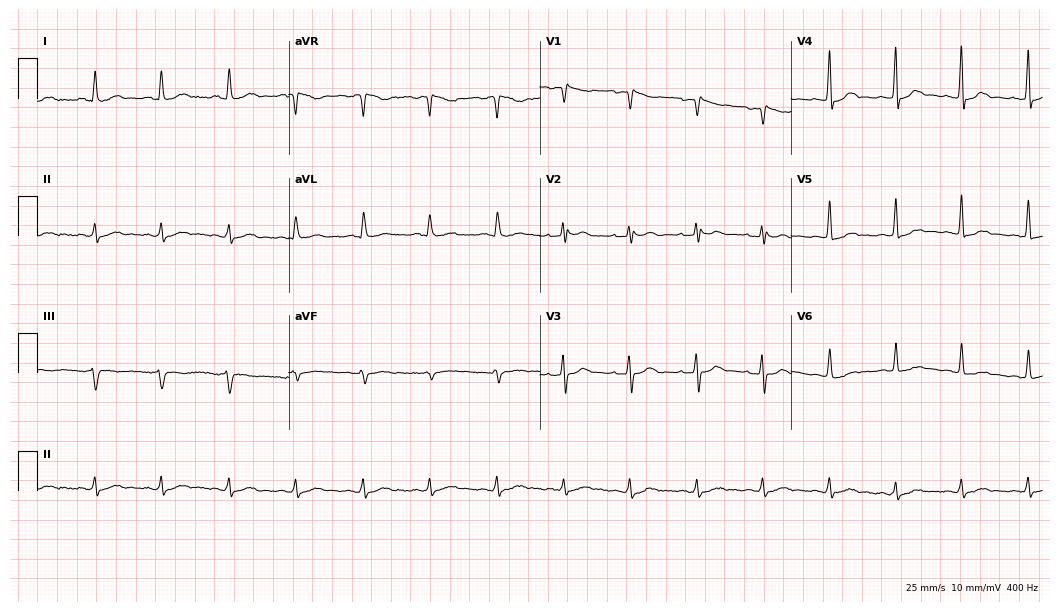
Standard 12-lead ECG recorded from a 55-year-old woman. None of these six findings is recorded: first-degree AV block, right bundle branch block (RBBB), left bundle branch block (LBBB), sinus bradycardia, atrial fibrillation (AF), sinus tachycardia. Findings outside these six are not listed.